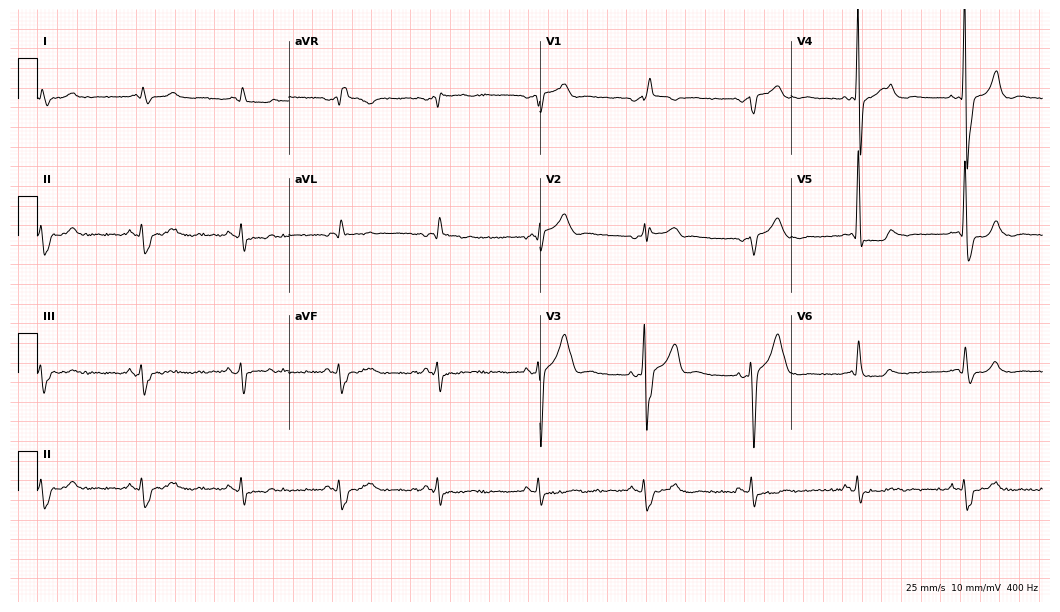
Resting 12-lead electrocardiogram. Patient: a male, 80 years old. None of these six findings is recorded: first-degree AV block, right bundle branch block, left bundle branch block, sinus bradycardia, atrial fibrillation, sinus tachycardia. Only these six findings were labelled.